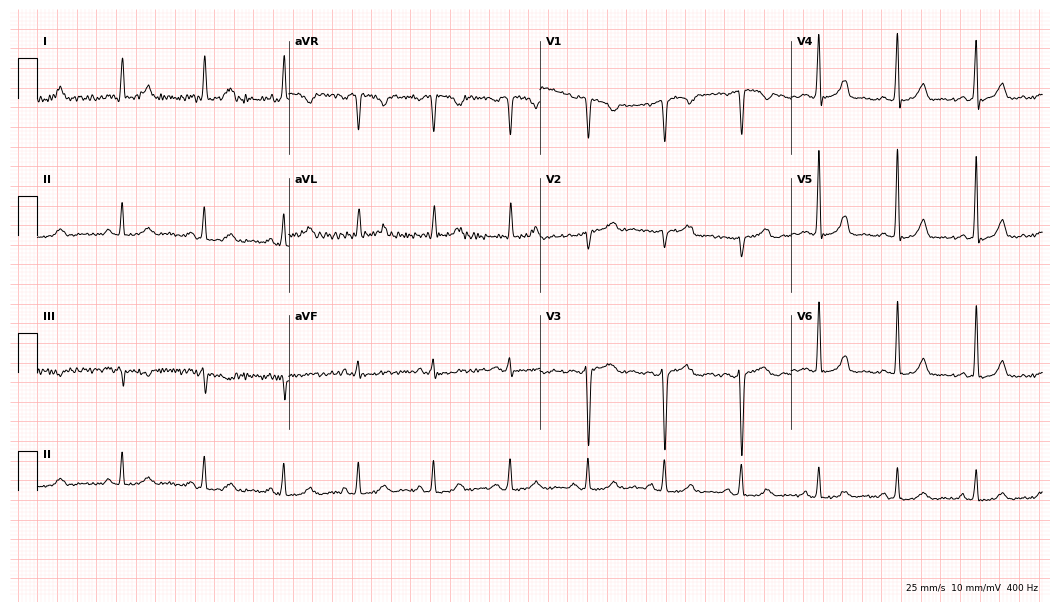
ECG (10.2-second recording at 400 Hz) — a 39-year-old woman. Screened for six findings — first-degree AV block, right bundle branch block (RBBB), left bundle branch block (LBBB), sinus bradycardia, atrial fibrillation (AF), sinus tachycardia — none is recorded. Other findings, if any, are not listed.